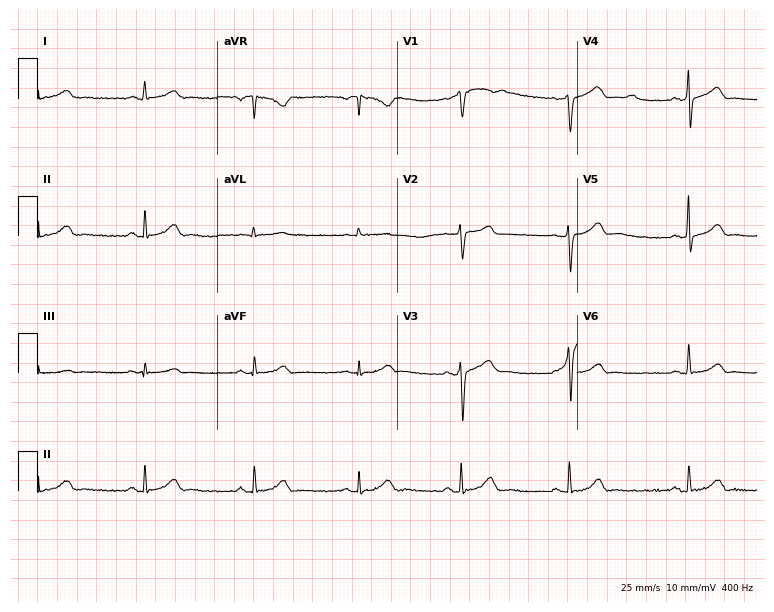
Electrocardiogram, a male, 44 years old. Overall reading on record: normal ECG.